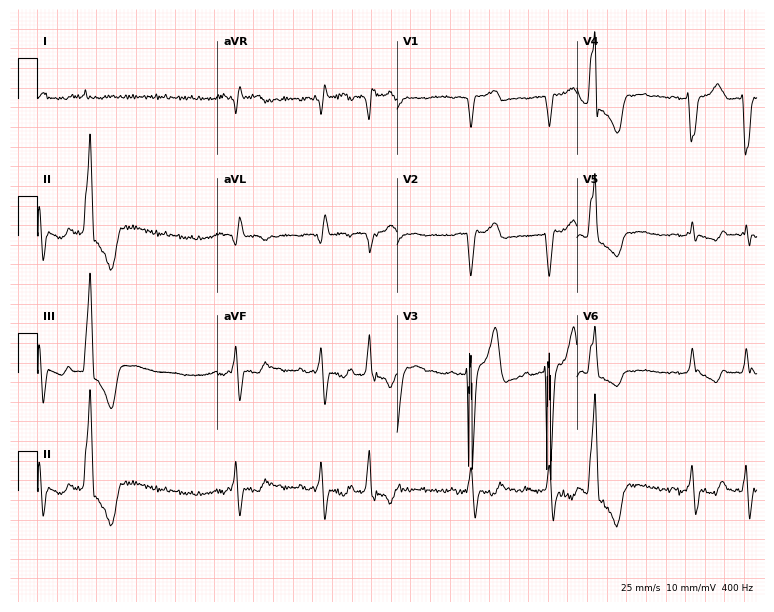
12-lead ECG from a man, 84 years old. No first-degree AV block, right bundle branch block, left bundle branch block, sinus bradycardia, atrial fibrillation or sinus tachycardia recorded for this tracing.